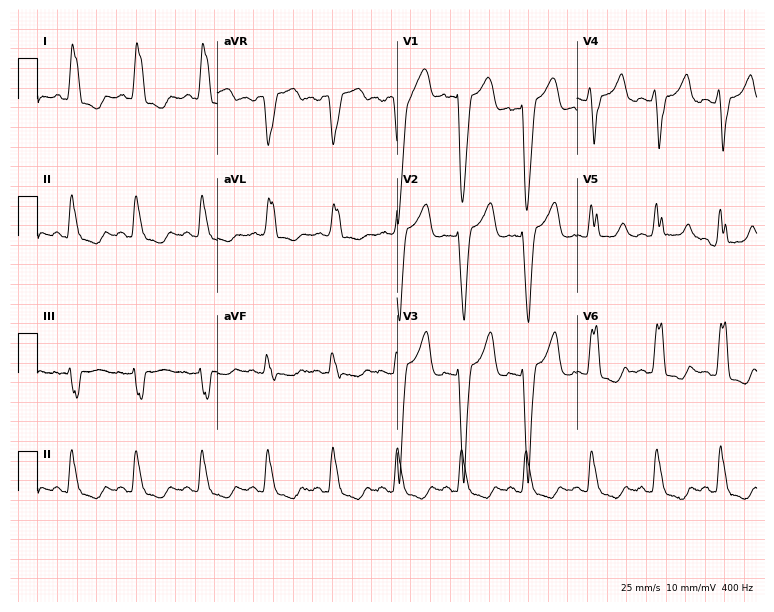
12-lead ECG from a 63-year-old woman. No first-degree AV block, right bundle branch block, left bundle branch block, sinus bradycardia, atrial fibrillation or sinus tachycardia recorded for this tracing.